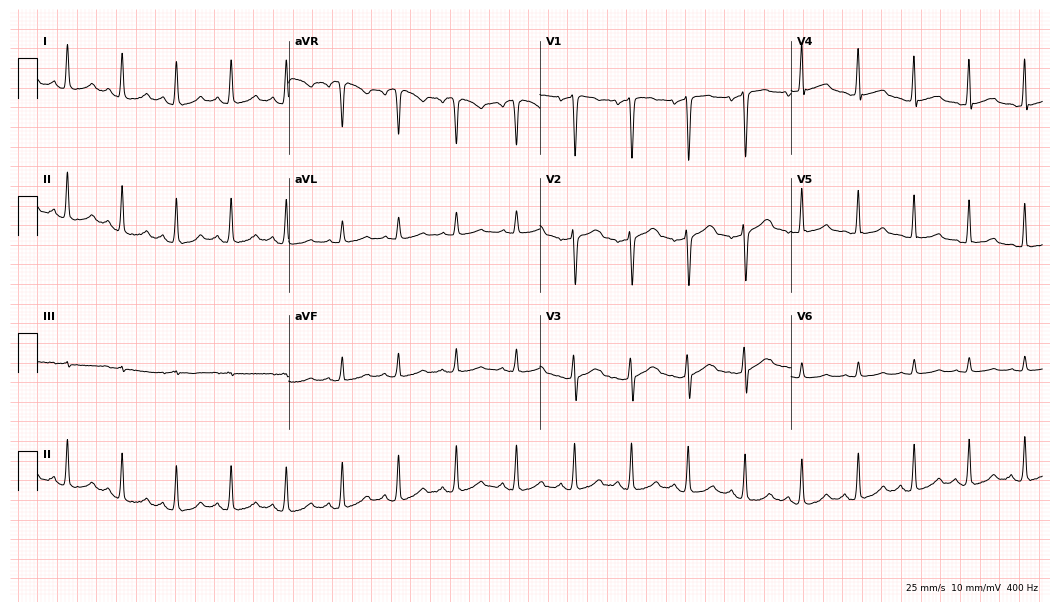
ECG — a 32-year-old female patient. Findings include sinus tachycardia (a sinus rate of 100 beats per minute or more).